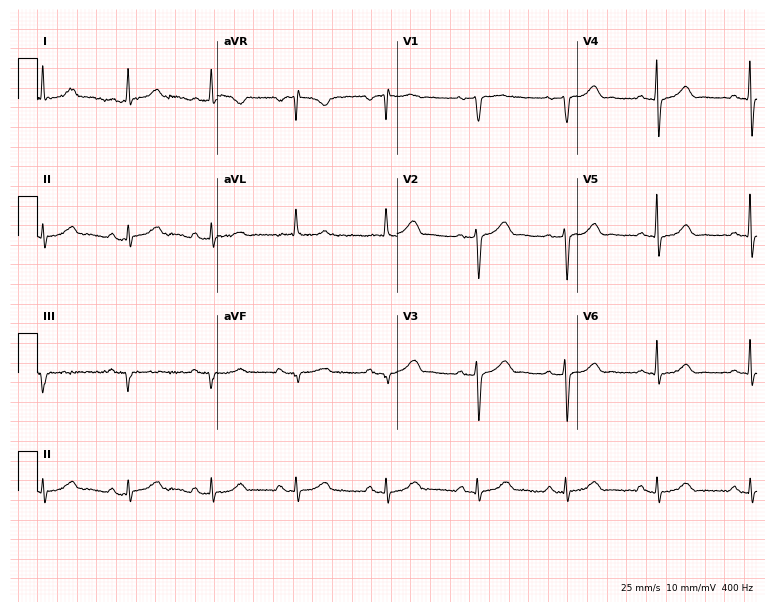
ECG — a 76-year-old woman. Labelled as a normal ECG.